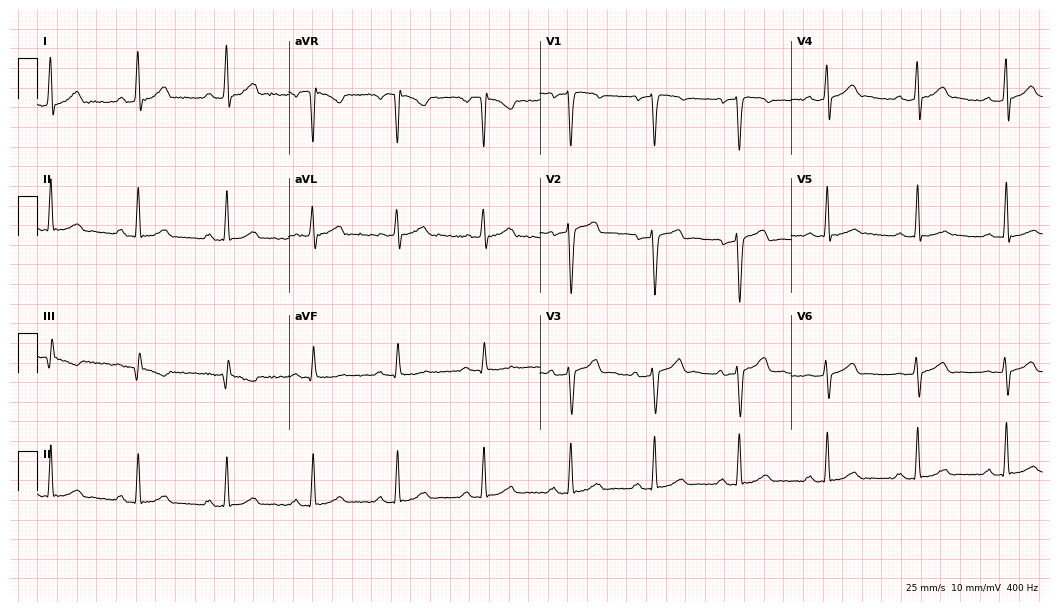
Standard 12-lead ECG recorded from a 37-year-old man. Read as a normal ECG.